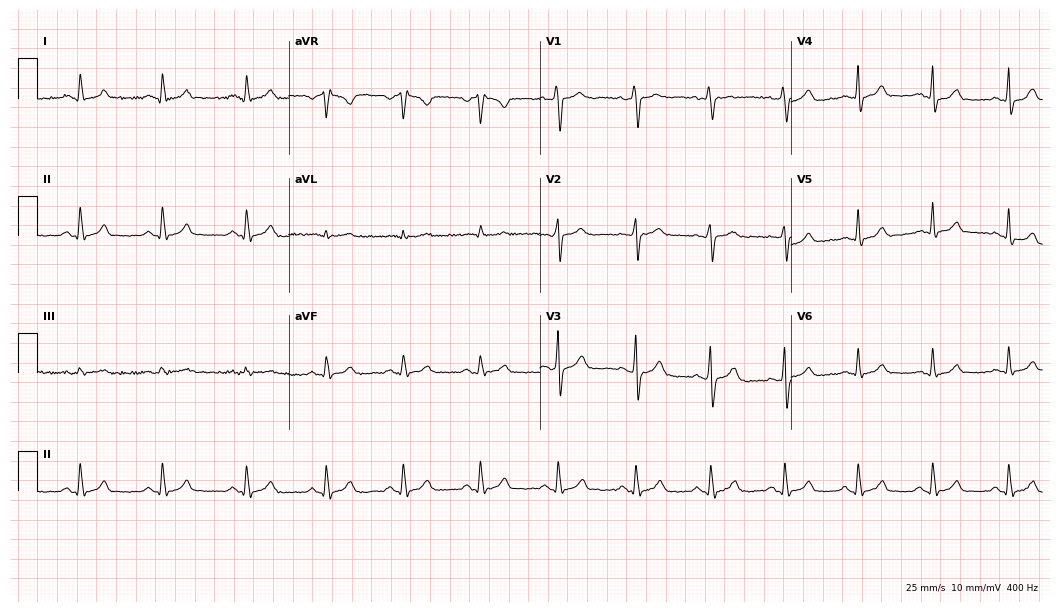
12-lead ECG (10.2-second recording at 400 Hz) from a 37-year-old male patient. Labelled as a normal ECG.